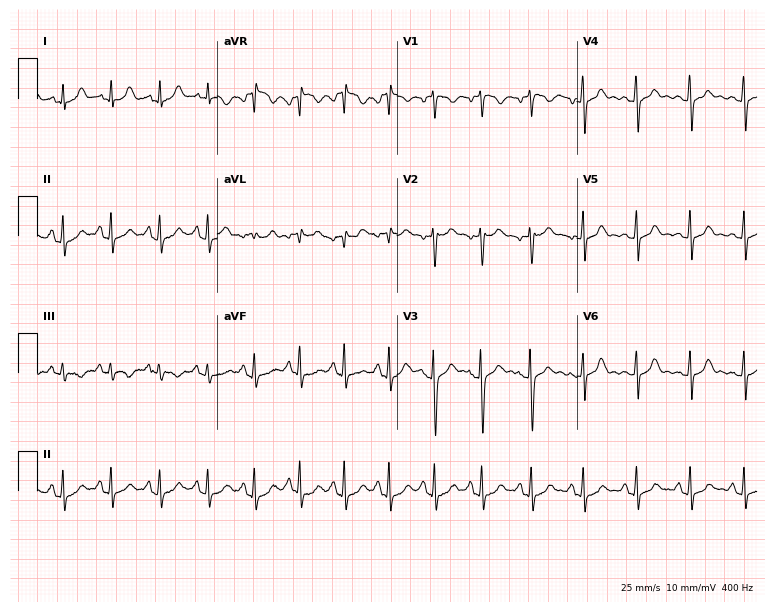
ECG (7.3-second recording at 400 Hz) — a 17-year-old female patient. Findings include sinus tachycardia (a sinus rate of 100 beats per minute or more).